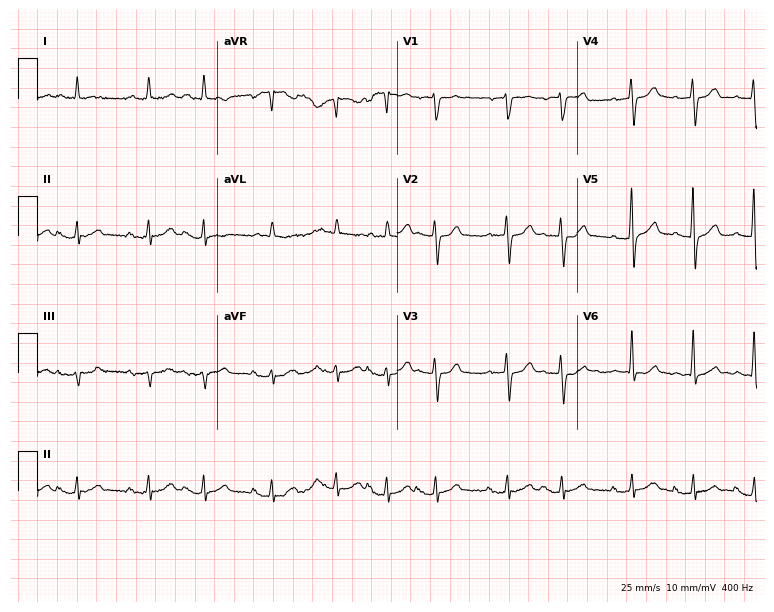
Electrocardiogram, a man, 83 years old. Of the six screened findings (first-degree AV block, right bundle branch block (RBBB), left bundle branch block (LBBB), sinus bradycardia, atrial fibrillation (AF), sinus tachycardia), none is recorded. Other findings, if any, are not listed.